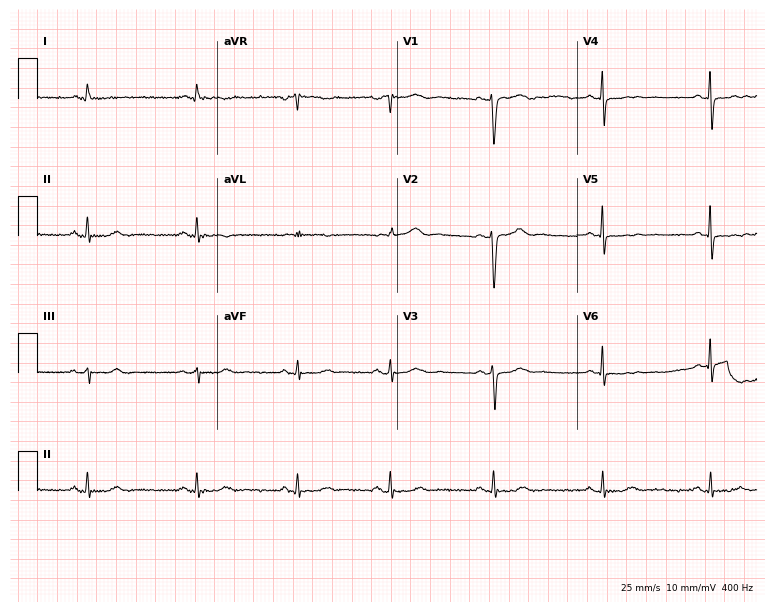
Standard 12-lead ECG recorded from a 45-year-old woman. None of these six findings is recorded: first-degree AV block, right bundle branch block (RBBB), left bundle branch block (LBBB), sinus bradycardia, atrial fibrillation (AF), sinus tachycardia.